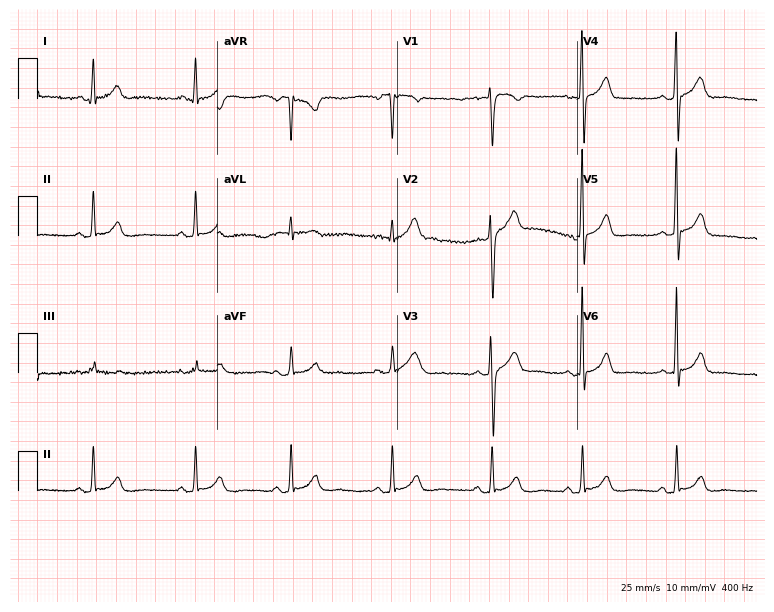
Standard 12-lead ECG recorded from a 31-year-old male patient (7.3-second recording at 400 Hz). None of these six findings is recorded: first-degree AV block, right bundle branch block, left bundle branch block, sinus bradycardia, atrial fibrillation, sinus tachycardia.